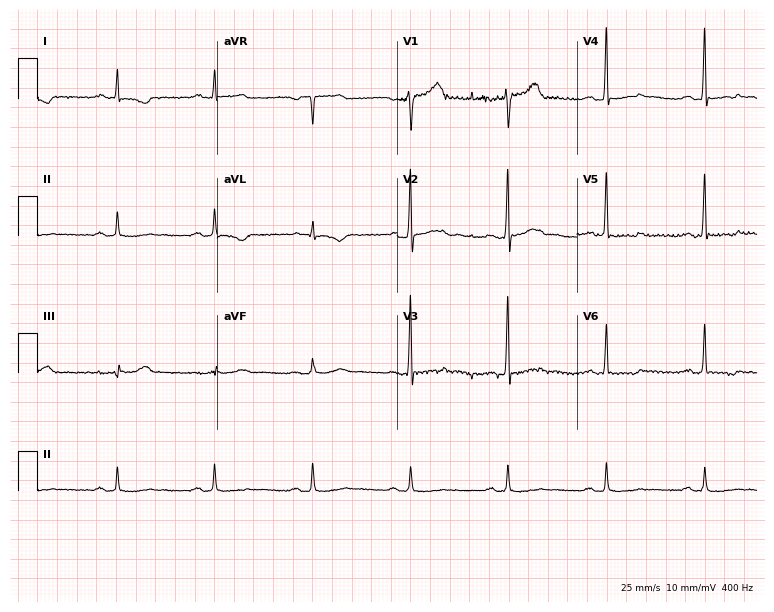
12-lead ECG from a male, 65 years old. No first-degree AV block, right bundle branch block, left bundle branch block, sinus bradycardia, atrial fibrillation or sinus tachycardia recorded for this tracing. Only these six findings were labelled.